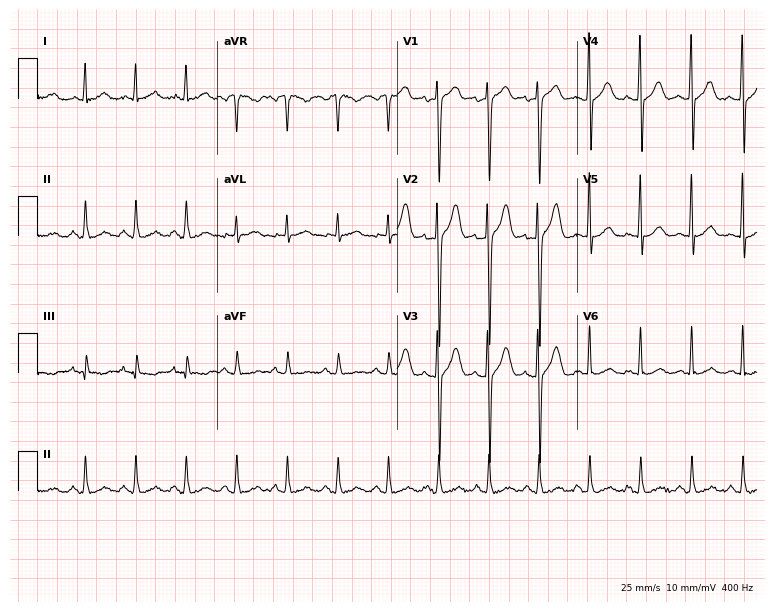
12-lead ECG from a 40-year-old male (7.3-second recording at 400 Hz). Shows sinus tachycardia (a sinus rate of 100 beats per minute or more).